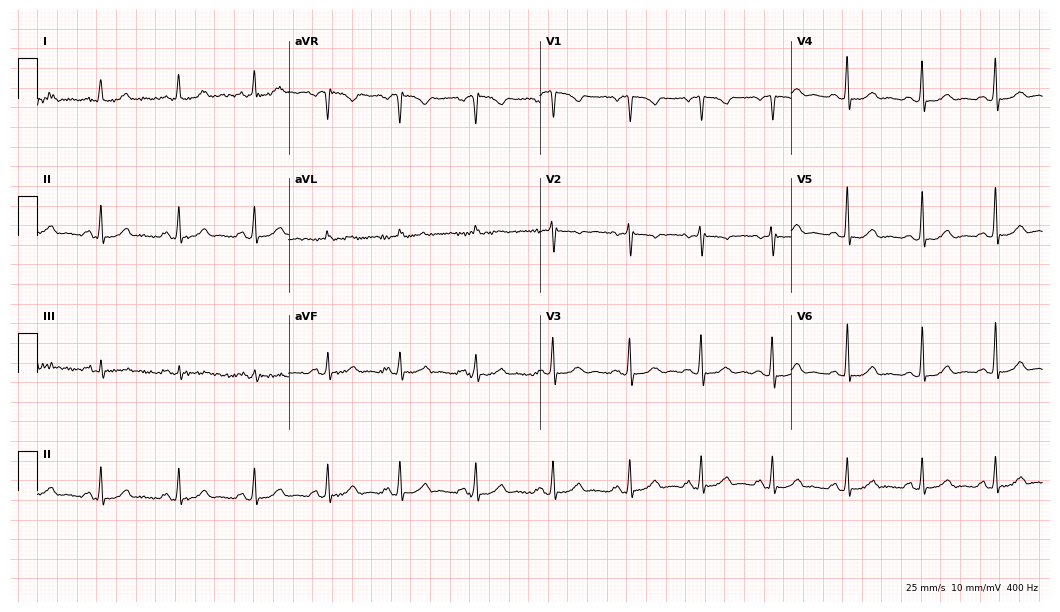
Standard 12-lead ECG recorded from a 40-year-old woman. None of these six findings is recorded: first-degree AV block, right bundle branch block (RBBB), left bundle branch block (LBBB), sinus bradycardia, atrial fibrillation (AF), sinus tachycardia.